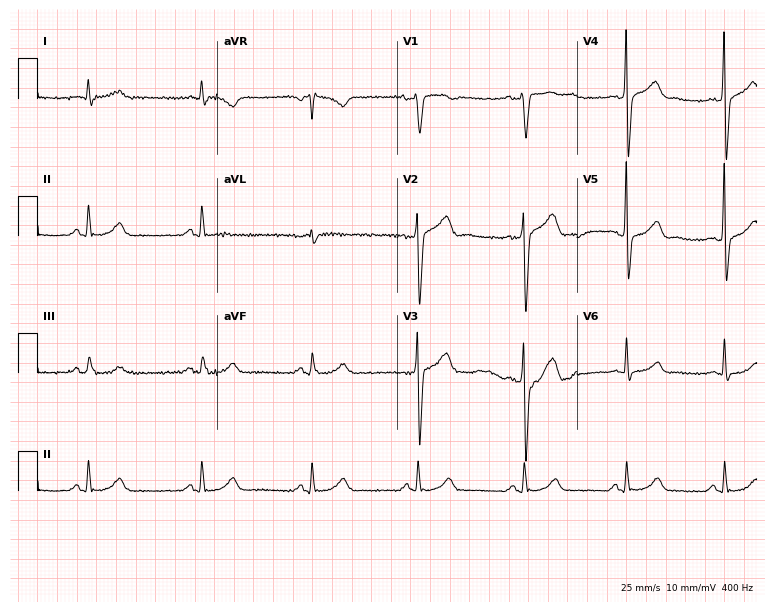
ECG (7.3-second recording at 400 Hz) — a man, 46 years old. Screened for six findings — first-degree AV block, right bundle branch block (RBBB), left bundle branch block (LBBB), sinus bradycardia, atrial fibrillation (AF), sinus tachycardia — none is recorded. Other findings, if any, are not listed.